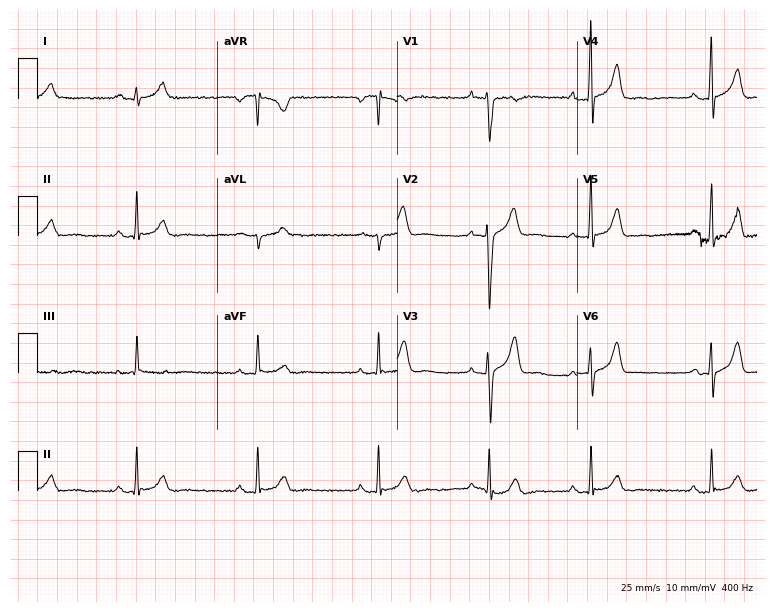
12-lead ECG from a 23-year-old male patient. Screened for six findings — first-degree AV block, right bundle branch block (RBBB), left bundle branch block (LBBB), sinus bradycardia, atrial fibrillation (AF), sinus tachycardia — none is recorded.